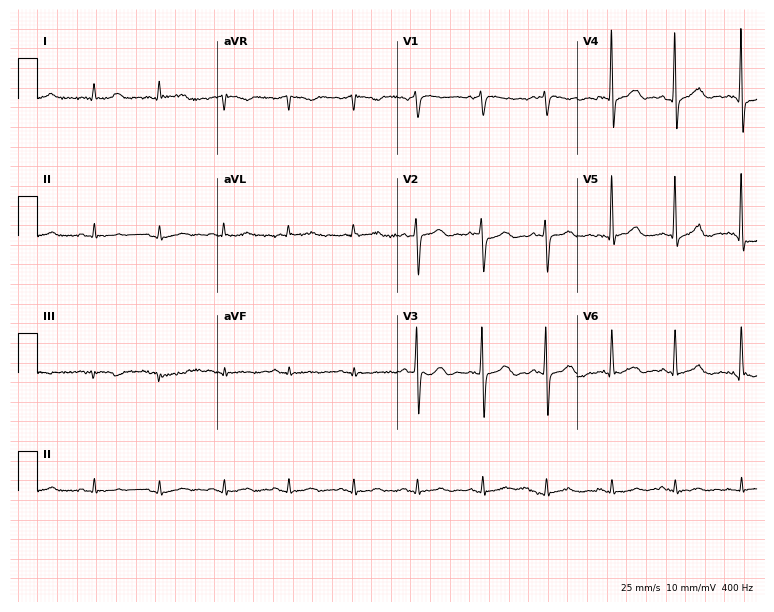
12-lead ECG from an 81-year-old man. Labelled as a normal ECG.